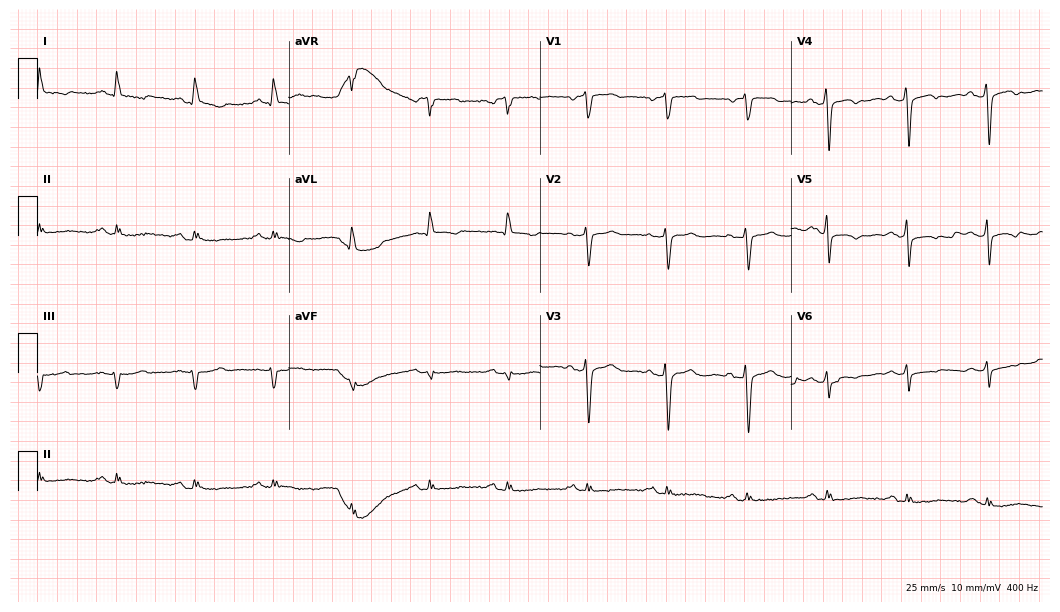
Standard 12-lead ECG recorded from a 74-year-old female patient. None of these six findings is recorded: first-degree AV block, right bundle branch block (RBBB), left bundle branch block (LBBB), sinus bradycardia, atrial fibrillation (AF), sinus tachycardia. Findings outside these six are not listed.